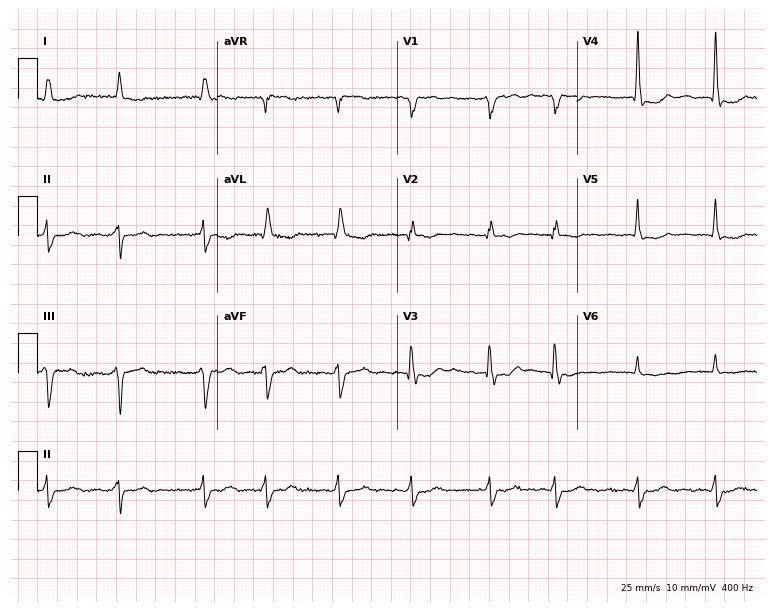
Standard 12-lead ECG recorded from a 78-year-old man. The tracing shows atrial fibrillation.